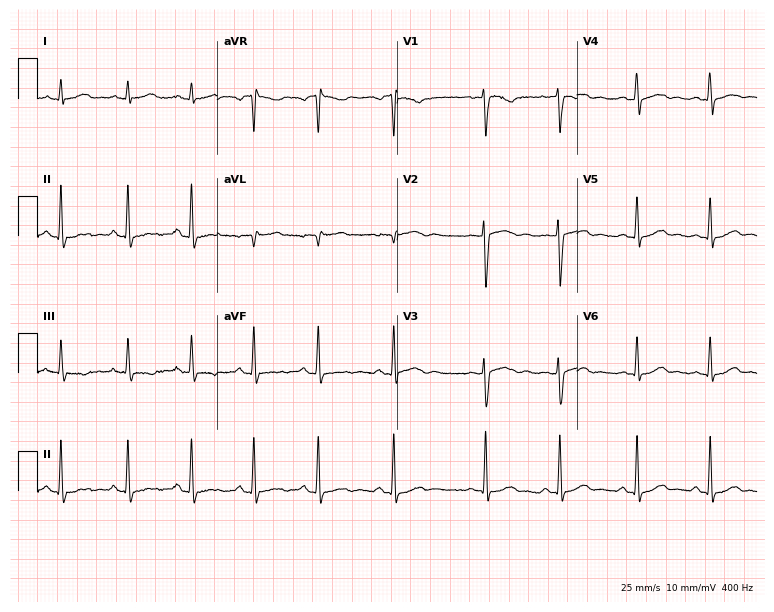
Electrocardiogram (7.3-second recording at 400 Hz), a female patient, 49 years old. Overall reading on record: normal ECG.